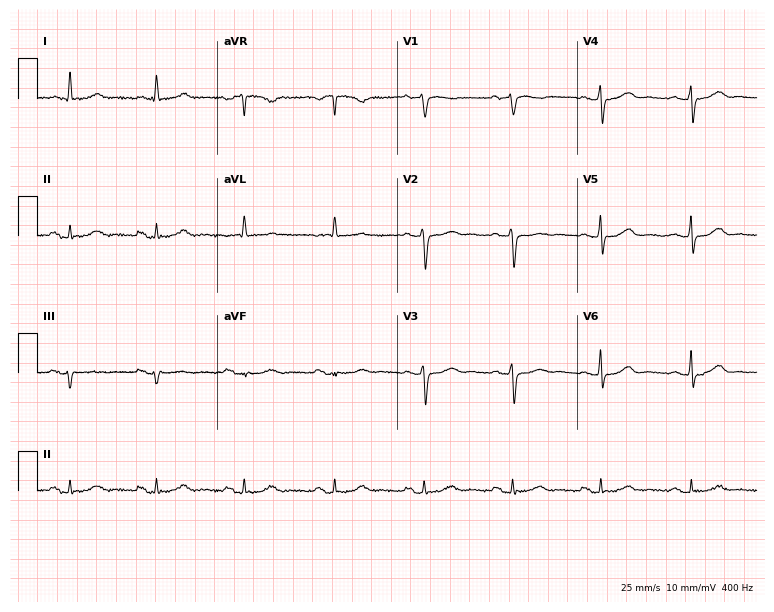
ECG — an 80-year-old female patient. Screened for six findings — first-degree AV block, right bundle branch block, left bundle branch block, sinus bradycardia, atrial fibrillation, sinus tachycardia — none is recorded.